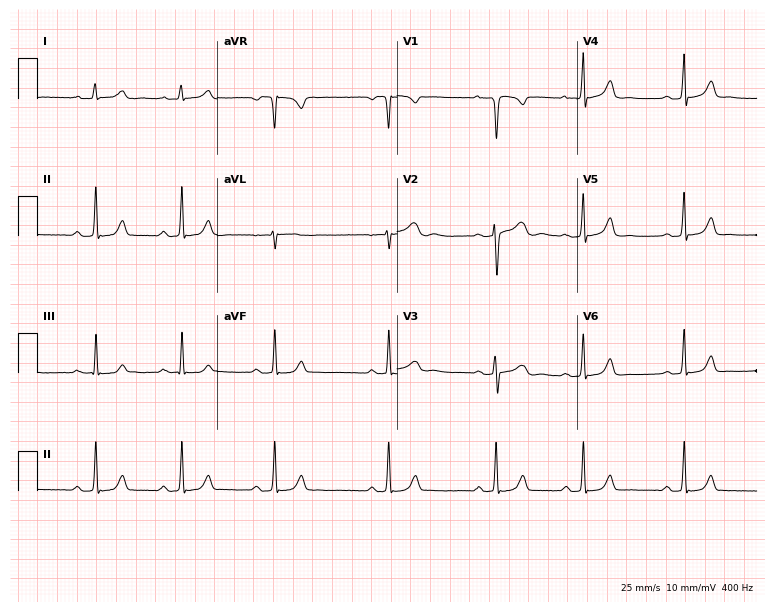
12-lead ECG from a 17-year-old female. Screened for six findings — first-degree AV block, right bundle branch block, left bundle branch block, sinus bradycardia, atrial fibrillation, sinus tachycardia — none is recorded.